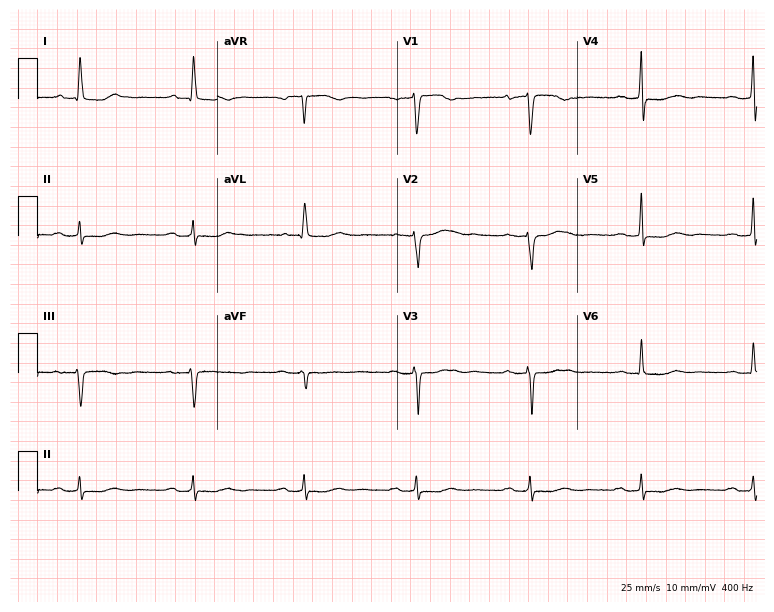
ECG (7.3-second recording at 400 Hz) — a female patient, 69 years old. Findings include first-degree AV block.